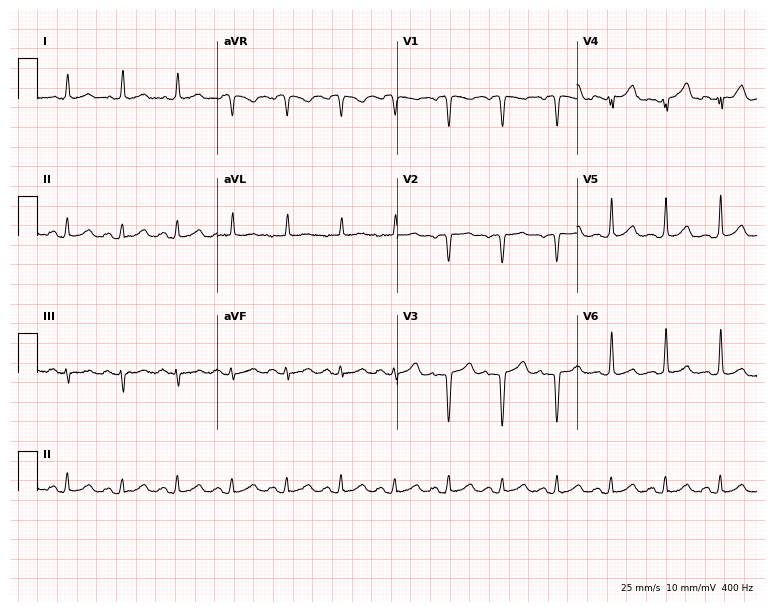
12-lead ECG from a 48-year-old female patient. Shows sinus tachycardia (a sinus rate of 100 beats per minute or more).